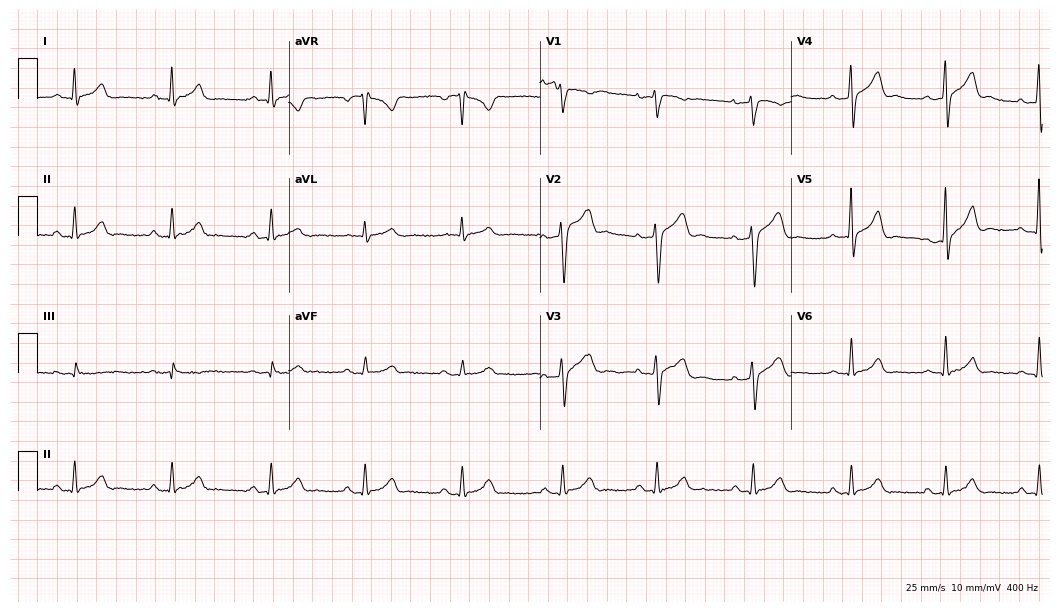
ECG (10.2-second recording at 400 Hz) — a 30-year-old man. Screened for six findings — first-degree AV block, right bundle branch block, left bundle branch block, sinus bradycardia, atrial fibrillation, sinus tachycardia — none is recorded. Findings outside these six are not listed.